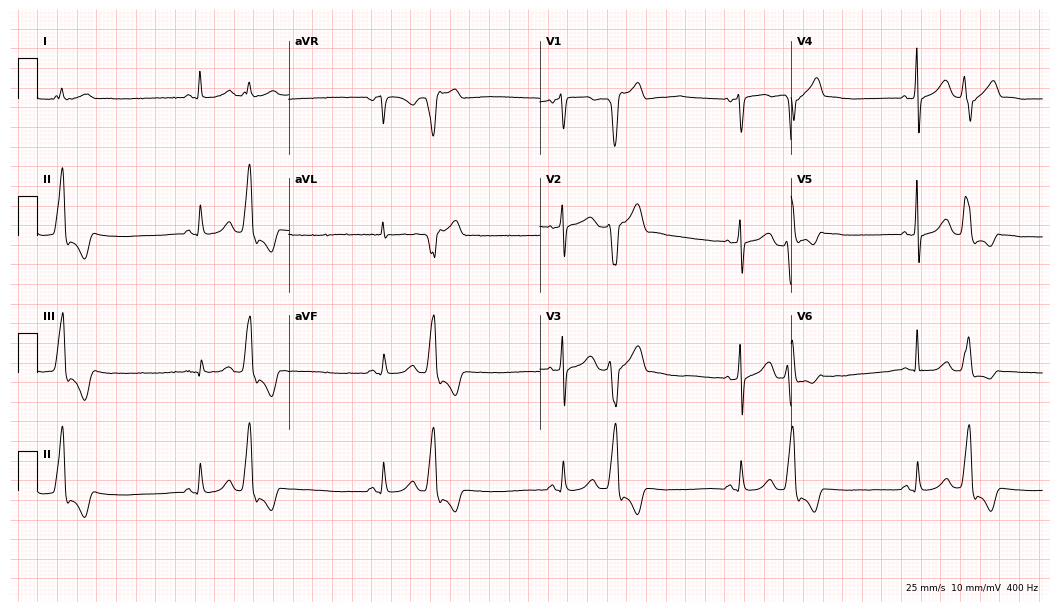
12-lead ECG from a female, 53 years old (10.2-second recording at 400 Hz). No first-degree AV block, right bundle branch block, left bundle branch block, sinus bradycardia, atrial fibrillation or sinus tachycardia recorded for this tracing. Other findings, if any, are not listed.